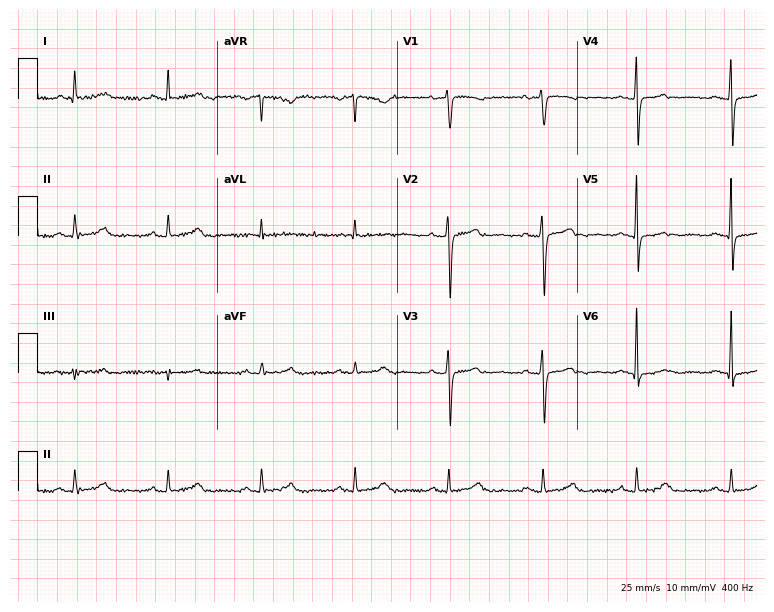
Electrocardiogram (7.3-second recording at 400 Hz), a female patient, 76 years old. Of the six screened findings (first-degree AV block, right bundle branch block (RBBB), left bundle branch block (LBBB), sinus bradycardia, atrial fibrillation (AF), sinus tachycardia), none is recorded. Only these six findings were labelled.